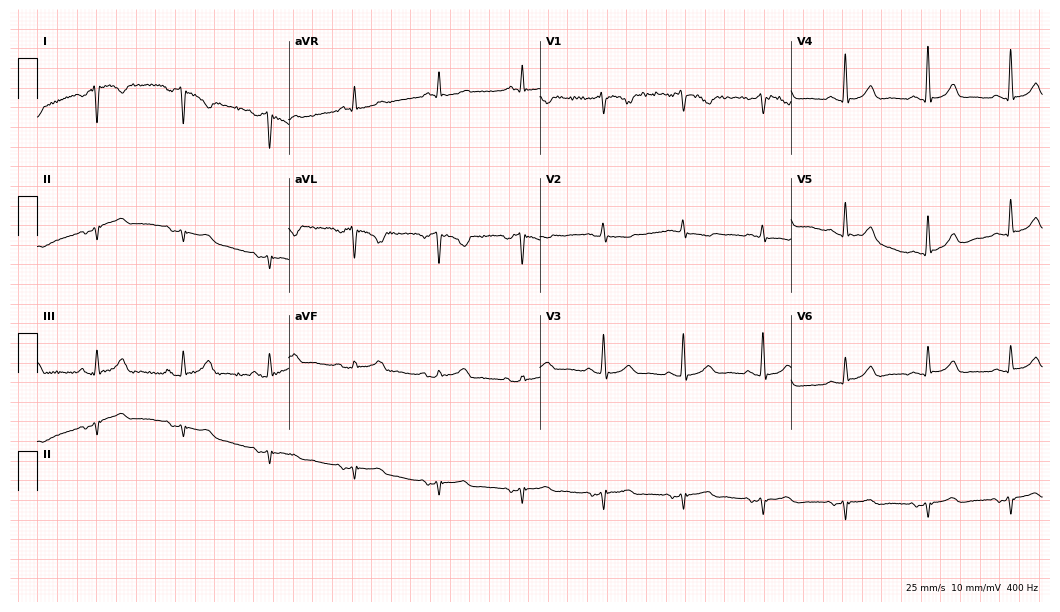
Resting 12-lead electrocardiogram (10.2-second recording at 400 Hz). Patient: a 75-year-old female. None of these six findings is recorded: first-degree AV block, right bundle branch block, left bundle branch block, sinus bradycardia, atrial fibrillation, sinus tachycardia. Findings outside these six are not listed.